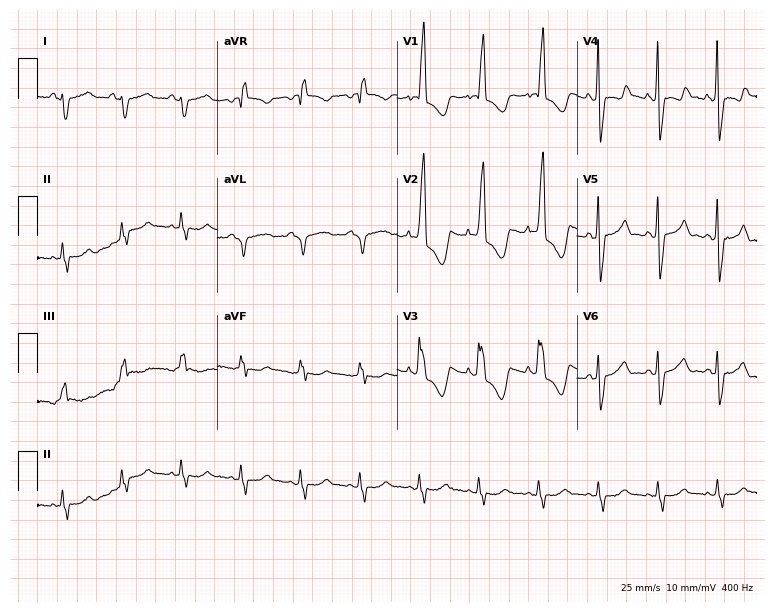
ECG (7.3-second recording at 400 Hz) — a woman, 55 years old. Screened for six findings — first-degree AV block, right bundle branch block (RBBB), left bundle branch block (LBBB), sinus bradycardia, atrial fibrillation (AF), sinus tachycardia — none is recorded. Only these six findings were labelled.